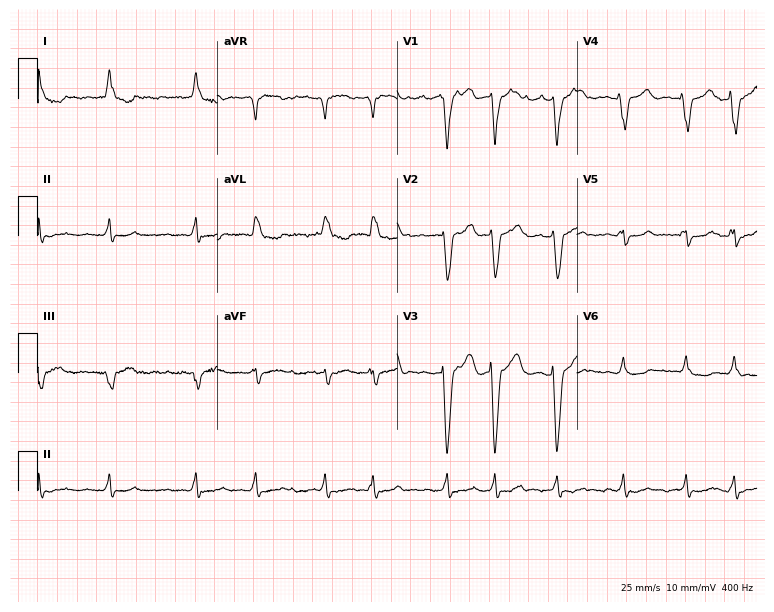
Electrocardiogram (7.3-second recording at 400 Hz), a female, 83 years old. Interpretation includes left bundle branch block (LBBB), atrial fibrillation (AF).